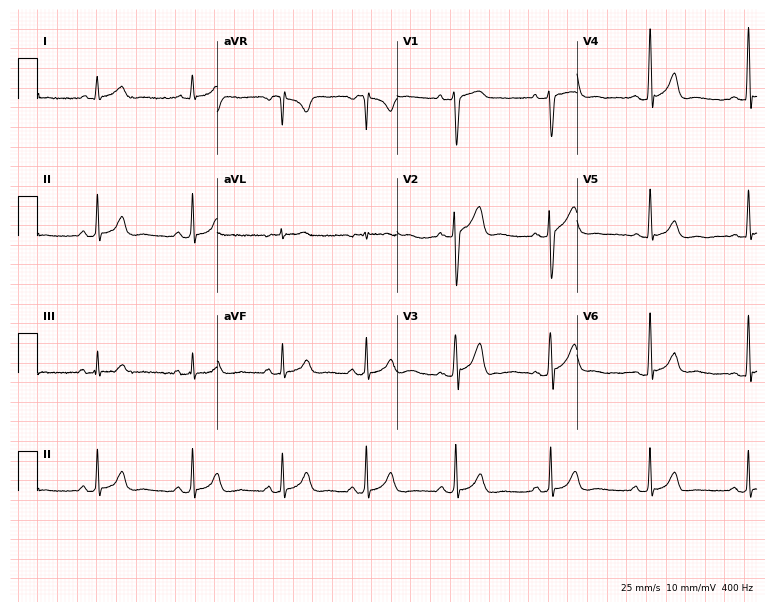
Standard 12-lead ECG recorded from a 30-year-old man (7.3-second recording at 400 Hz). Read as a normal ECG.